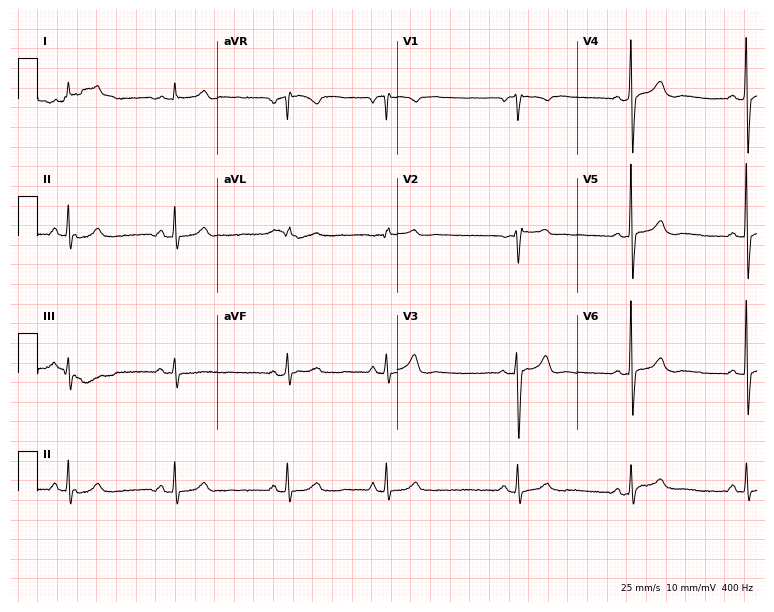
Standard 12-lead ECG recorded from a male patient, 58 years old (7.3-second recording at 400 Hz). None of these six findings is recorded: first-degree AV block, right bundle branch block, left bundle branch block, sinus bradycardia, atrial fibrillation, sinus tachycardia. Only these six findings were labelled.